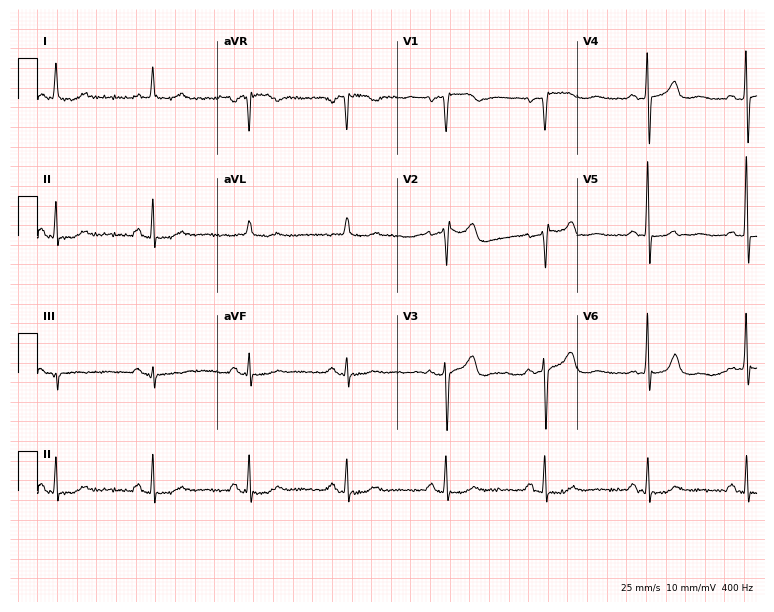
12-lead ECG (7.3-second recording at 400 Hz) from a female, 58 years old. Labelled as a normal ECG.